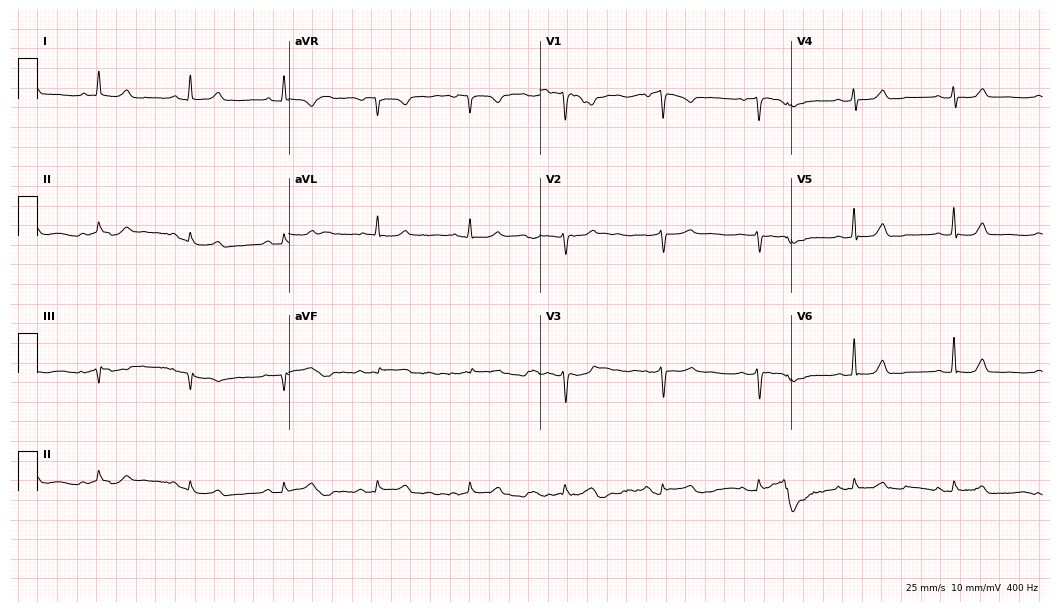
ECG — a female, 69 years old. Screened for six findings — first-degree AV block, right bundle branch block (RBBB), left bundle branch block (LBBB), sinus bradycardia, atrial fibrillation (AF), sinus tachycardia — none is recorded.